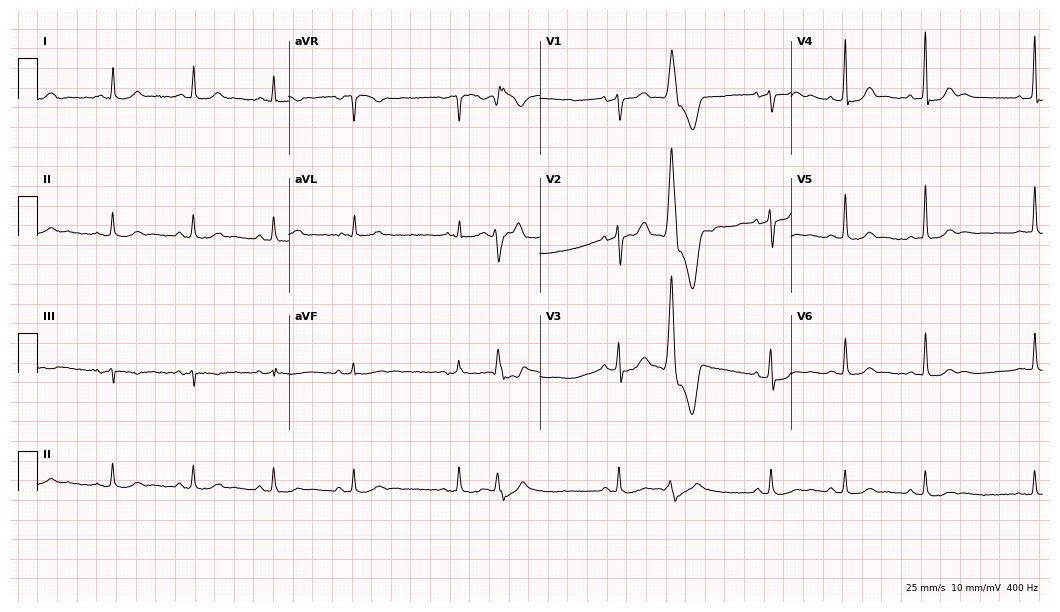
Resting 12-lead electrocardiogram (10.2-second recording at 400 Hz). Patient: a 57-year-old male. None of these six findings is recorded: first-degree AV block, right bundle branch block (RBBB), left bundle branch block (LBBB), sinus bradycardia, atrial fibrillation (AF), sinus tachycardia. Other findings, if any, are not listed.